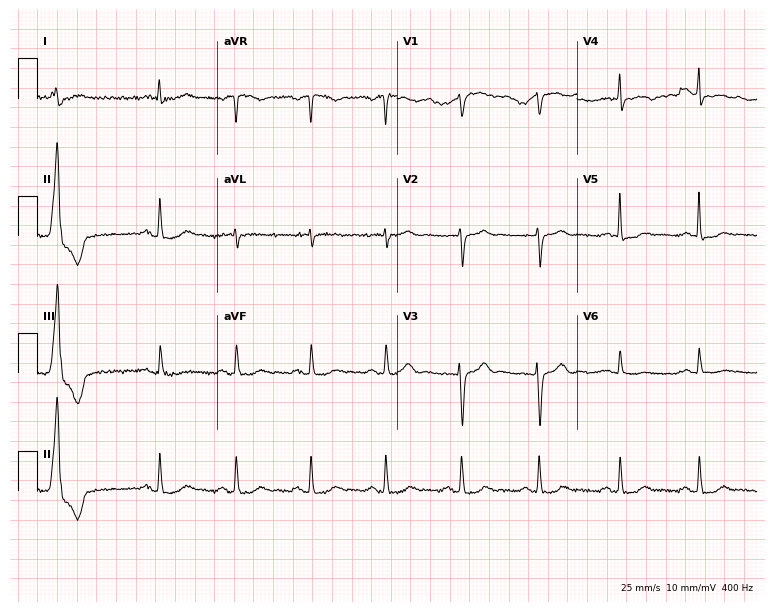
Standard 12-lead ECG recorded from a 69-year-old man (7.3-second recording at 400 Hz). None of these six findings is recorded: first-degree AV block, right bundle branch block, left bundle branch block, sinus bradycardia, atrial fibrillation, sinus tachycardia.